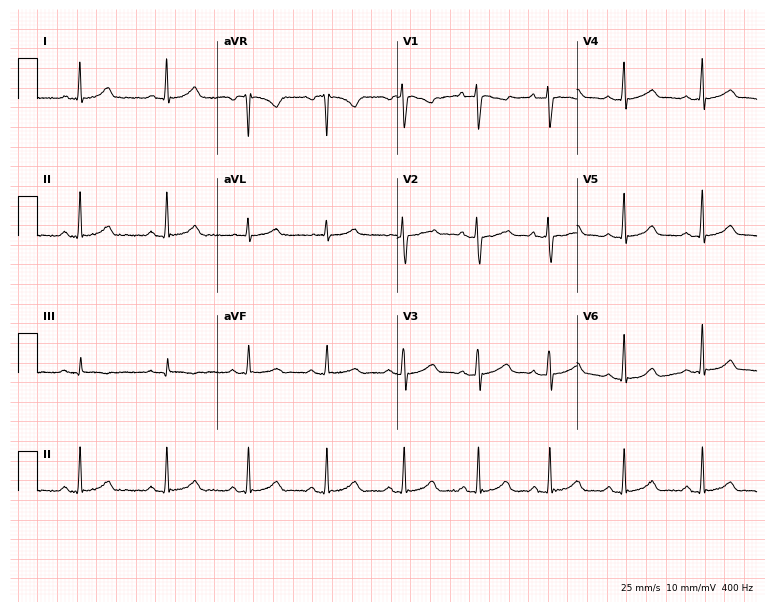
12-lead ECG from a 27-year-old woman. Labelled as a normal ECG.